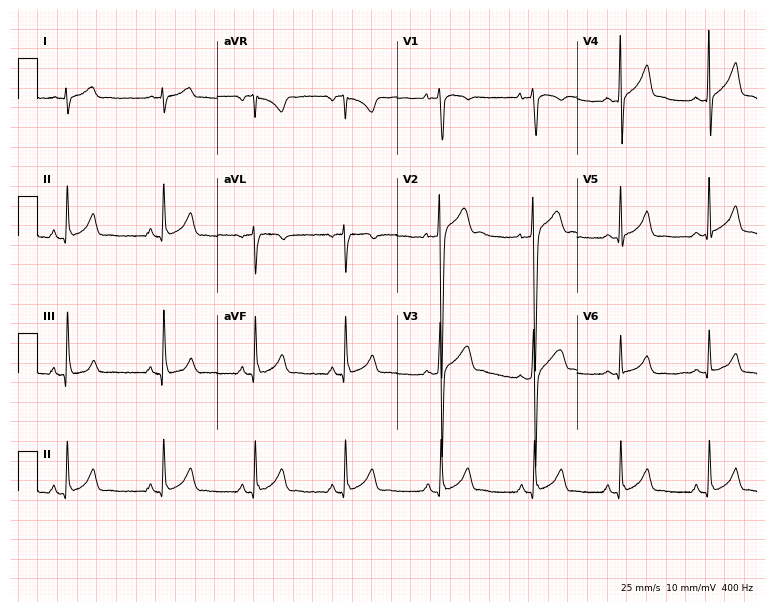
12-lead ECG (7.3-second recording at 400 Hz) from a man, 18 years old. Screened for six findings — first-degree AV block, right bundle branch block, left bundle branch block, sinus bradycardia, atrial fibrillation, sinus tachycardia — none is recorded. Findings outside these six are not listed.